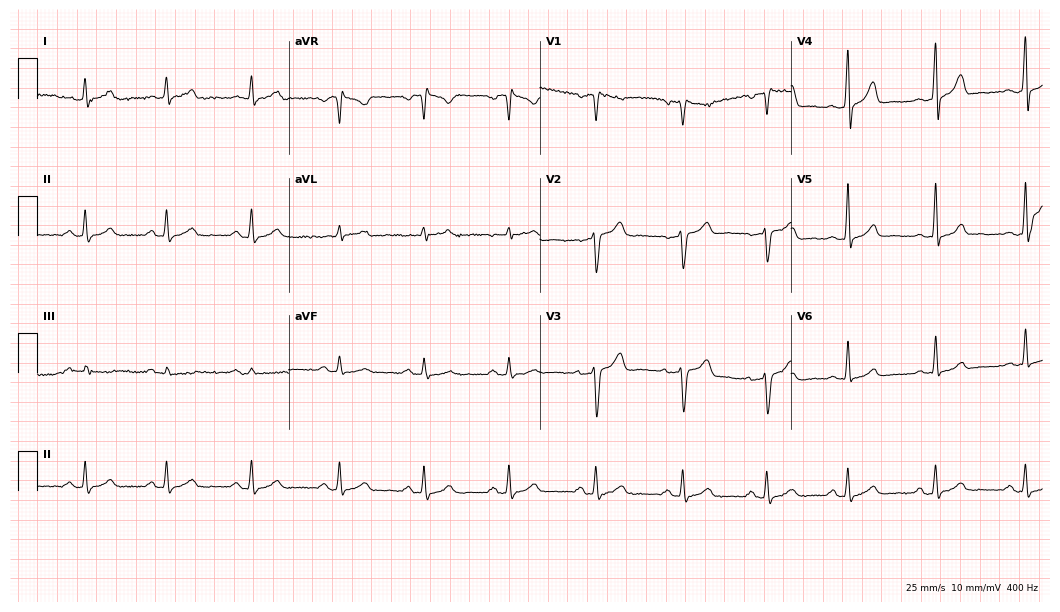
Standard 12-lead ECG recorded from a male, 33 years old. None of these six findings is recorded: first-degree AV block, right bundle branch block, left bundle branch block, sinus bradycardia, atrial fibrillation, sinus tachycardia. Only these six findings were labelled.